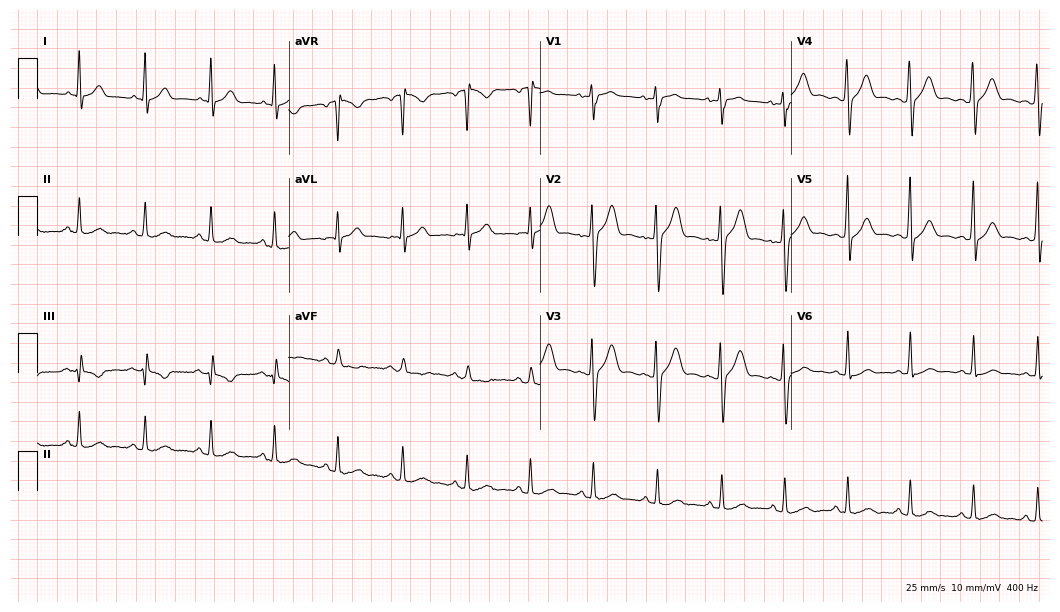
Resting 12-lead electrocardiogram (10.2-second recording at 400 Hz). Patient: a 29-year-old male. Read as a normal ECG.